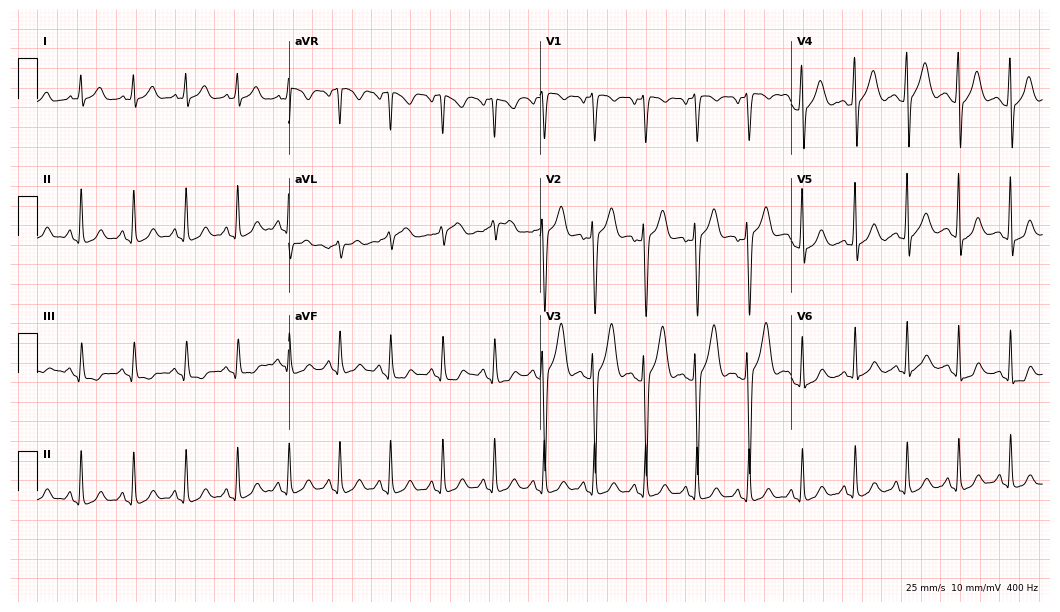
Resting 12-lead electrocardiogram. Patient: a 24-year-old male. The tracing shows sinus tachycardia (a sinus rate of 100 beats per minute or more).